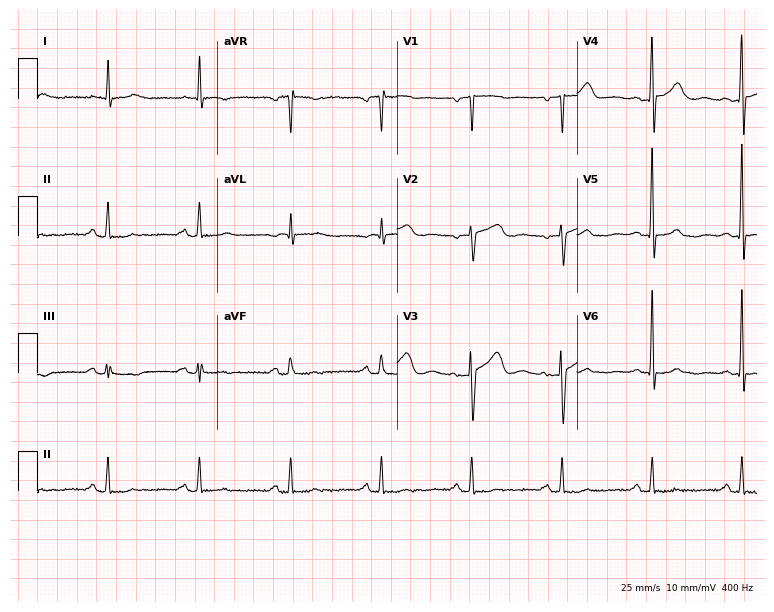
Electrocardiogram (7.3-second recording at 400 Hz), a male patient, 85 years old. Of the six screened findings (first-degree AV block, right bundle branch block, left bundle branch block, sinus bradycardia, atrial fibrillation, sinus tachycardia), none is recorded. Only these six findings were labelled.